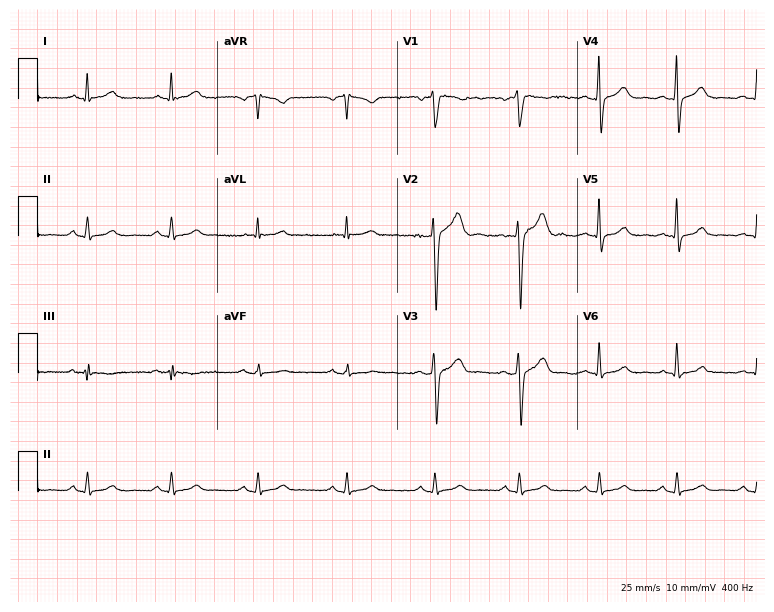
Standard 12-lead ECG recorded from a male patient, 43 years old (7.3-second recording at 400 Hz). None of these six findings is recorded: first-degree AV block, right bundle branch block, left bundle branch block, sinus bradycardia, atrial fibrillation, sinus tachycardia. Only these six findings were labelled.